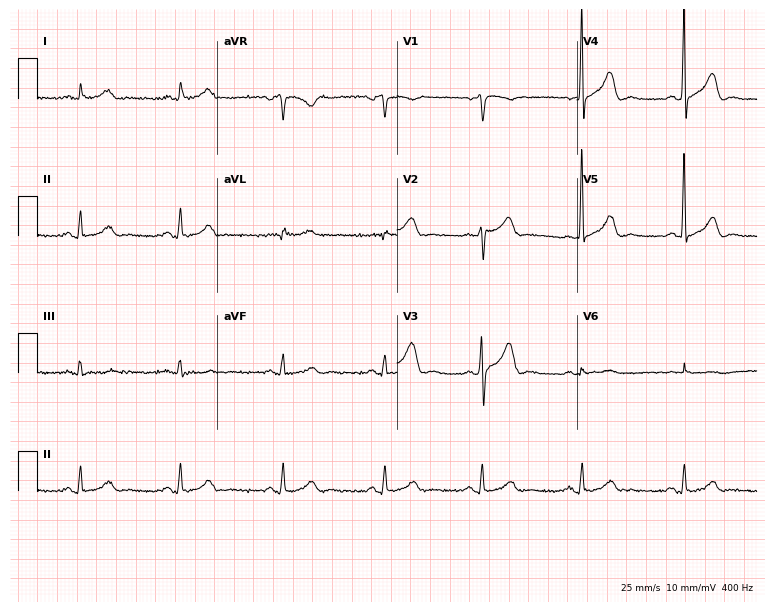
Resting 12-lead electrocardiogram (7.3-second recording at 400 Hz). Patient: a 50-year-old male. Read as a normal ECG.